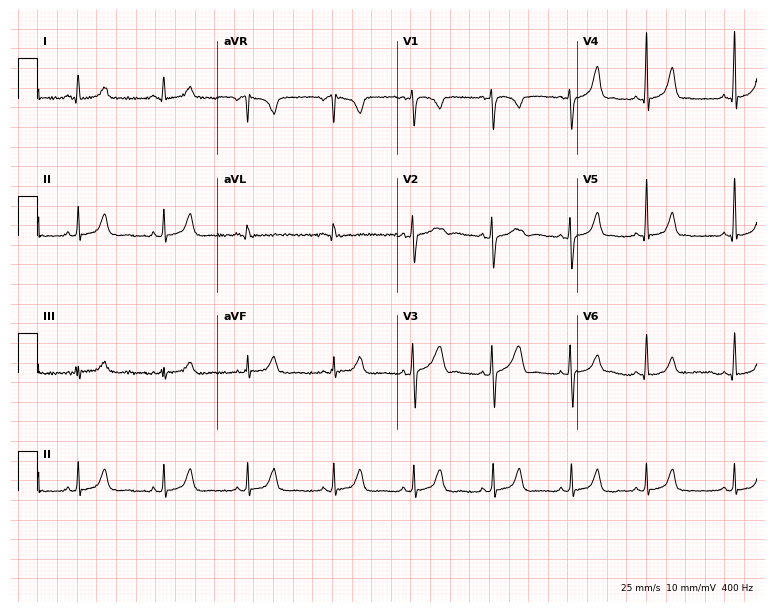
Standard 12-lead ECG recorded from a woman, 24 years old (7.3-second recording at 400 Hz). Read as a normal ECG.